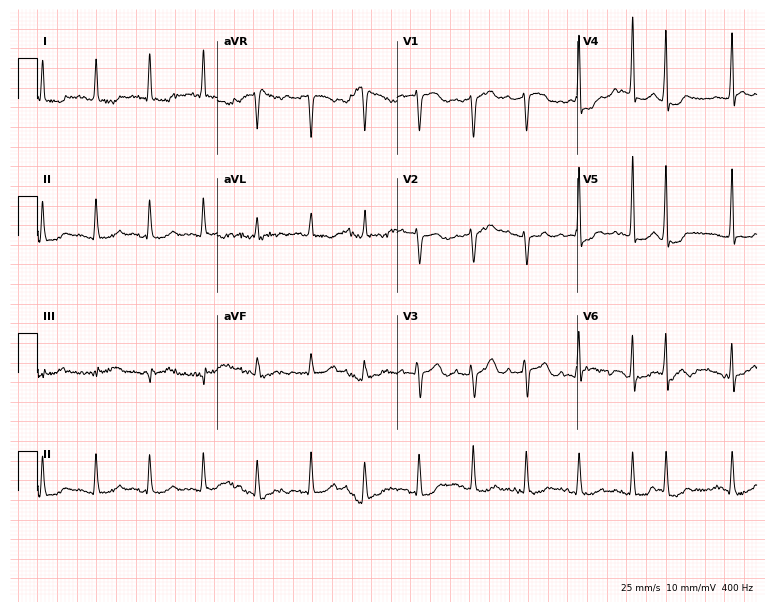
12-lead ECG from a 70-year-old female patient (7.3-second recording at 400 Hz). Shows sinus tachycardia (a sinus rate of 100 beats per minute or more).